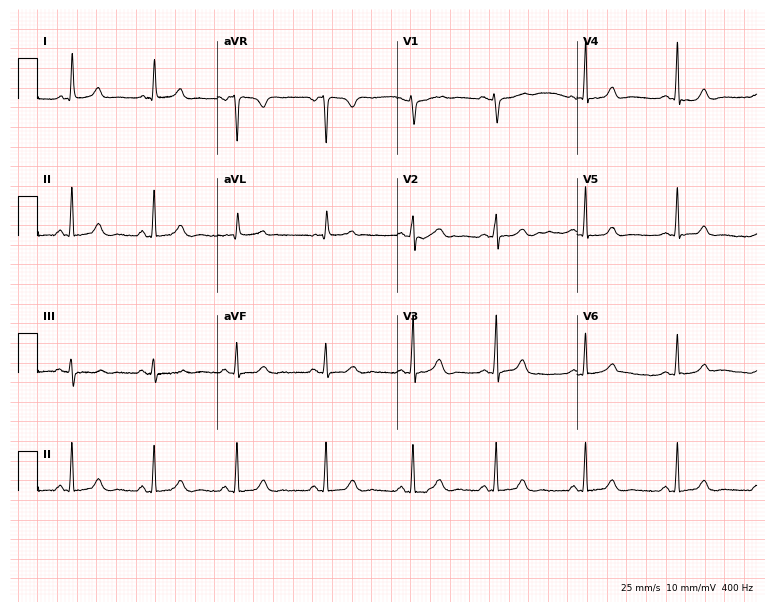
Electrocardiogram (7.3-second recording at 400 Hz), a female, 48 years old. Overall reading on record: normal ECG.